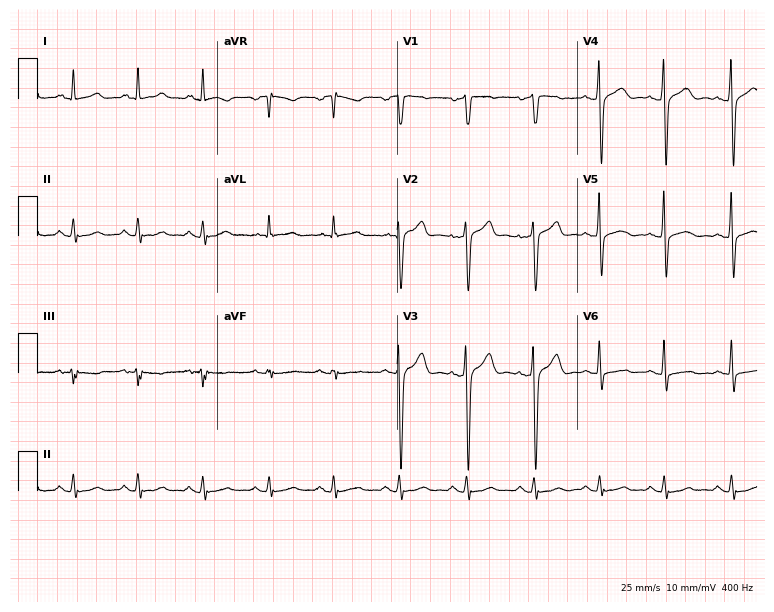
Resting 12-lead electrocardiogram (7.3-second recording at 400 Hz). Patient: a 51-year-old male. None of these six findings is recorded: first-degree AV block, right bundle branch block, left bundle branch block, sinus bradycardia, atrial fibrillation, sinus tachycardia. Other findings, if any, are not listed.